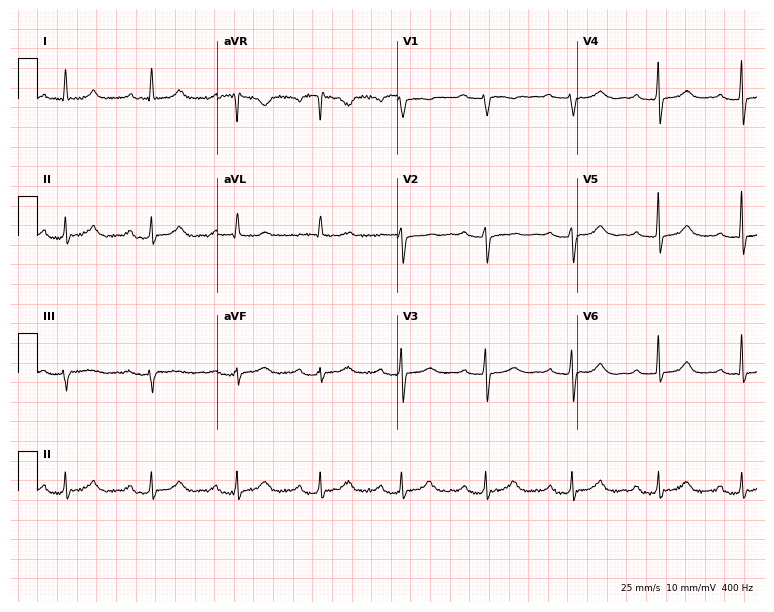
12-lead ECG from a woman, 51 years old. Shows first-degree AV block.